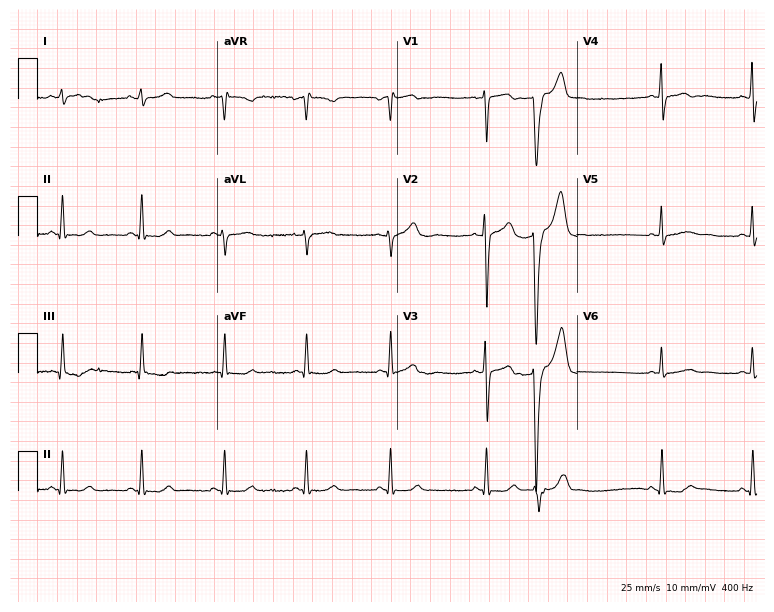
Standard 12-lead ECG recorded from a 39-year-old female patient. None of these six findings is recorded: first-degree AV block, right bundle branch block, left bundle branch block, sinus bradycardia, atrial fibrillation, sinus tachycardia.